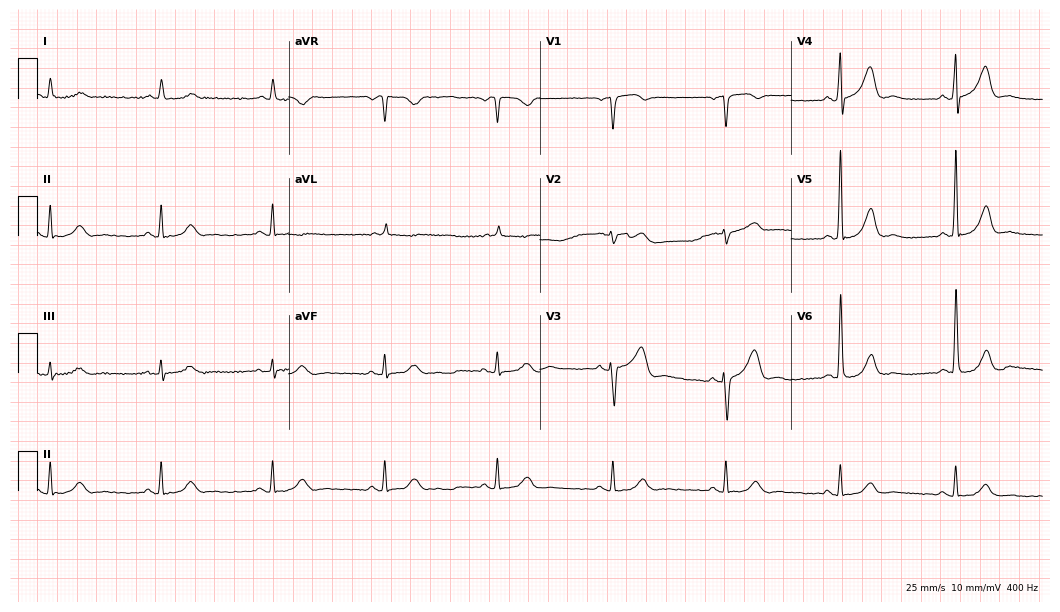
12-lead ECG from an 80-year-old male (10.2-second recording at 400 Hz). Recorded interpretation: within normal limits.